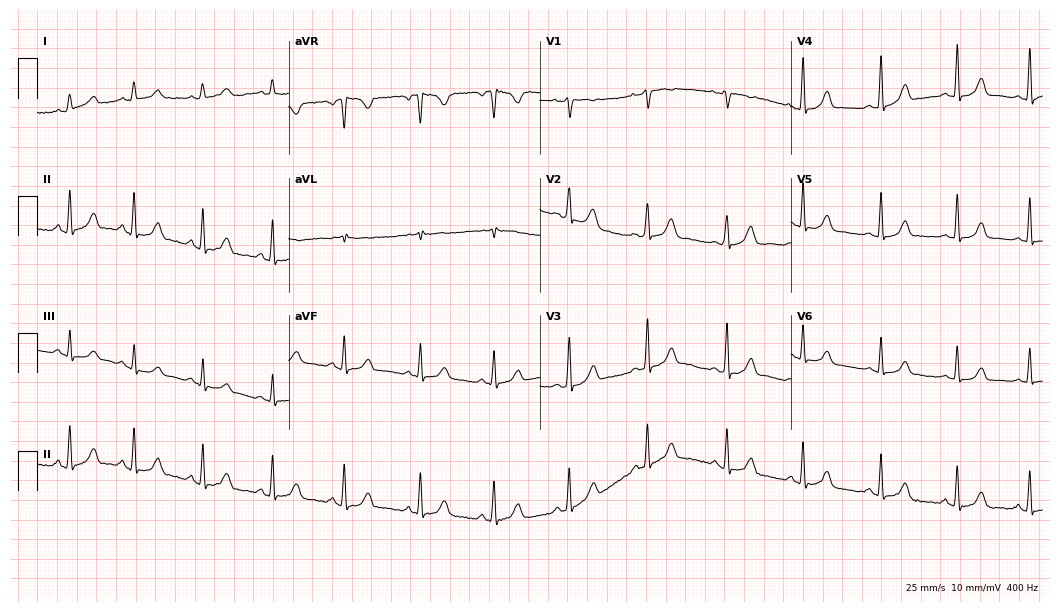
Standard 12-lead ECG recorded from a woman, 33 years old. Read as a normal ECG.